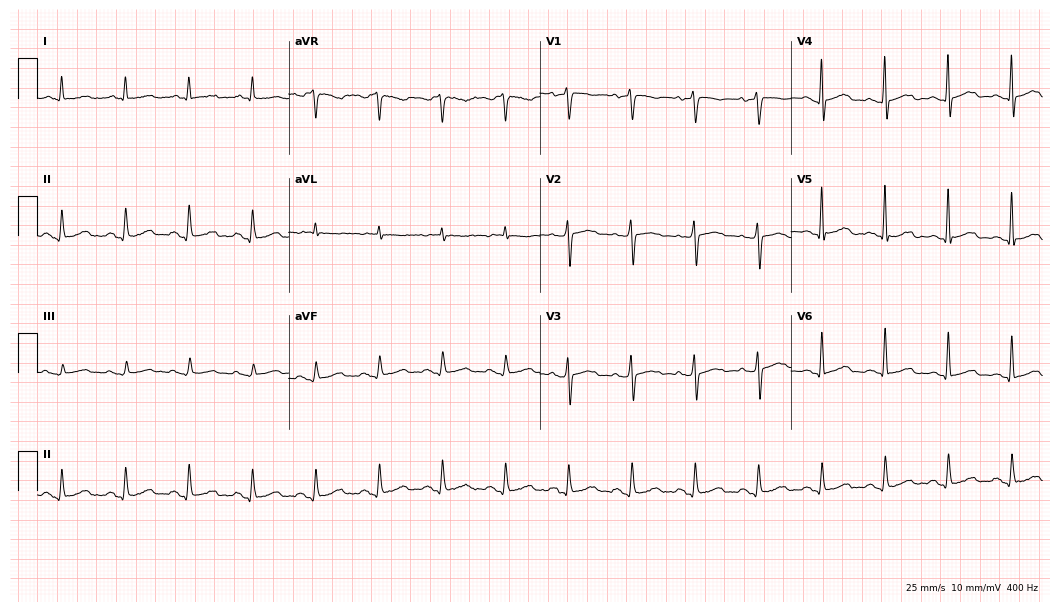
12-lead ECG from a 78-year-old female patient (10.2-second recording at 400 Hz). Recorded interpretation: within normal limits.